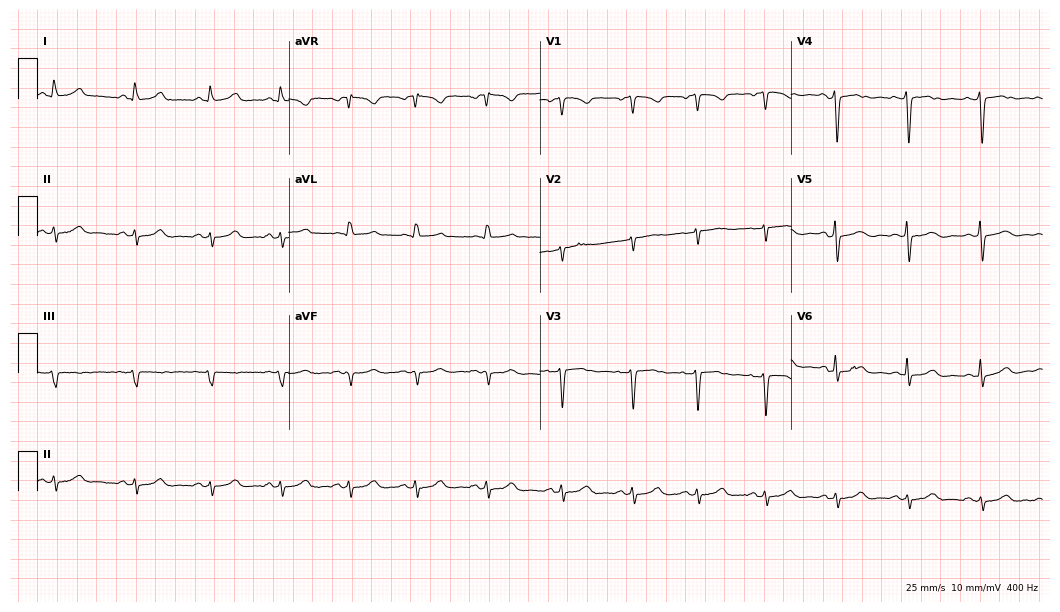
12-lead ECG from a female, 46 years old. No first-degree AV block, right bundle branch block, left bundle branch block, sinus bradycardia, atrial fibrillation or sinus tachycardia recorded for this tracing. Findings outside these six are not listed.